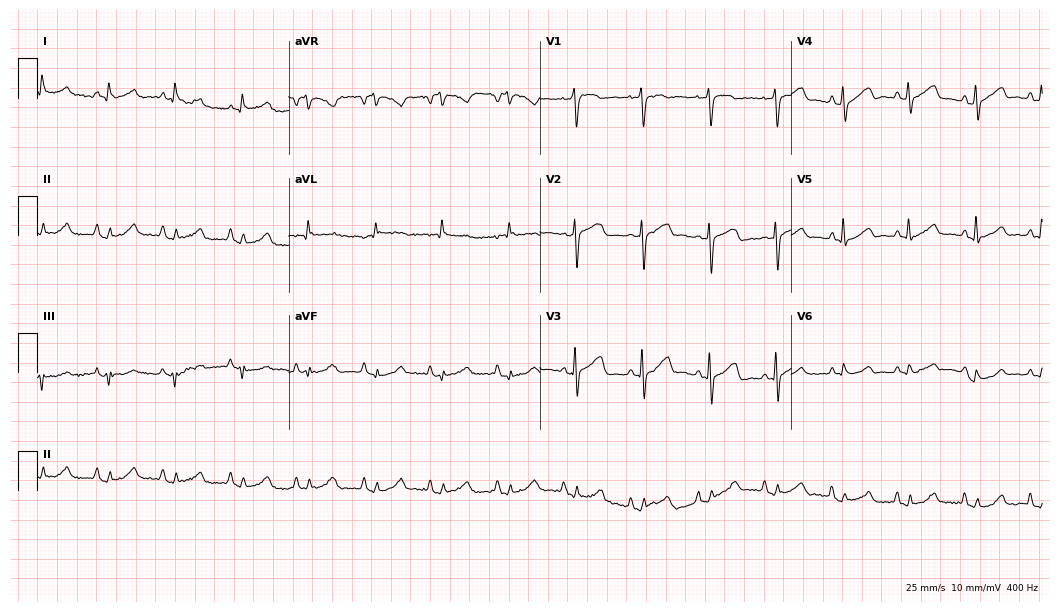
12-lead ECG (10.2-second recording at 400 Hz) from a female, 79 years old. Screened for six findings — first-degree AV block, right bundle branch block, left bundle branch block, sinus bradycardia, atrial fibrillation, sinus tachycardia — none is recorded.